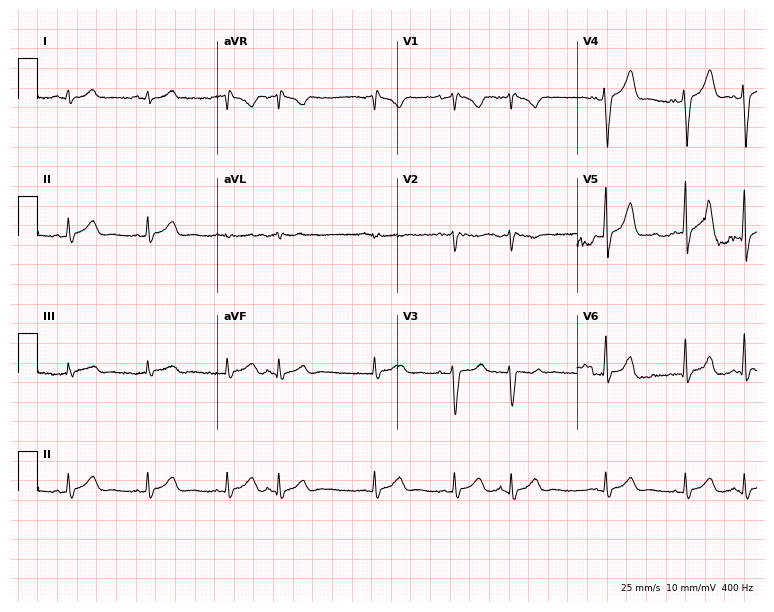
Resting 12-lead electrocardiogram (7.3-second recording at 400 Hz). Patient: a 56-year-old woman. None of these six findings is recorded: first-degree AV block, right bundle branch block, left bundle branch block, sinus bradycardia, atrial fibrillation, sinus tachycardia.